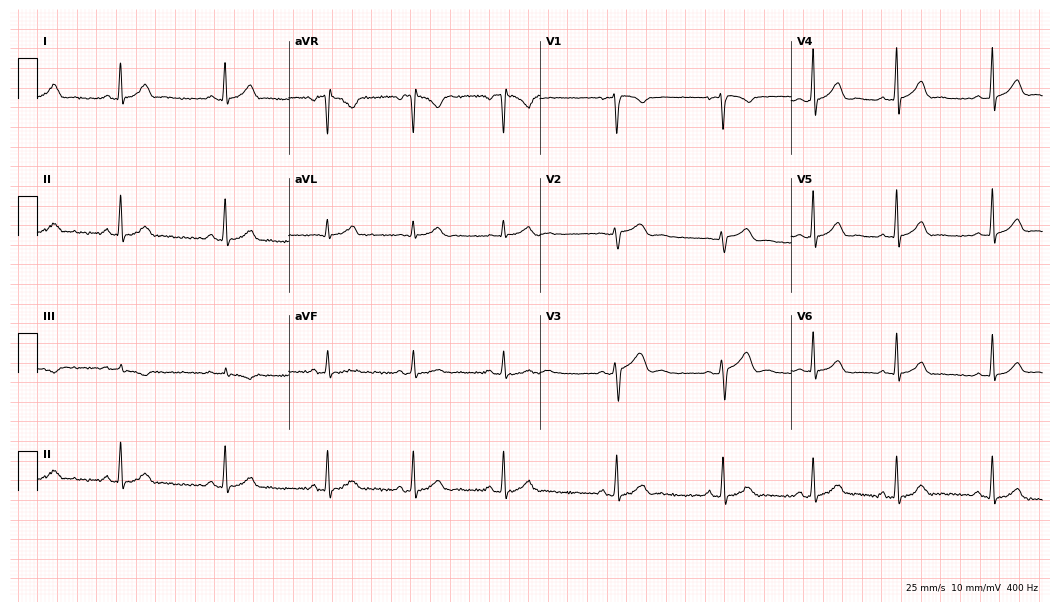
ECG (10.2-second recording at 400 Hz) — a female, 27 years old. Labelled as a normal ECG.